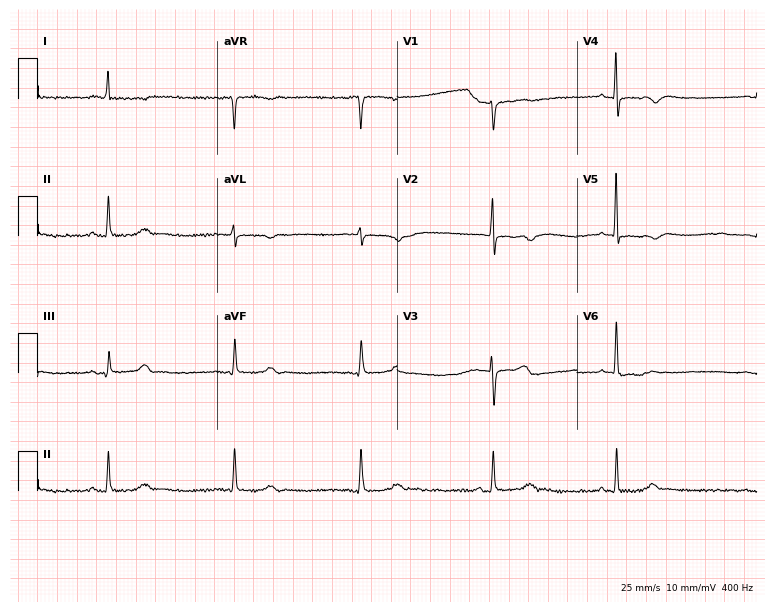
ECG — a female, 74 years old. Screened for six findings — first-degree AV block, right bundle branch block, left bundle branch block, sinus bradycardia, atrial fibrillation, sinus tachycardia — none is recorded. Only these six findings were labelled.